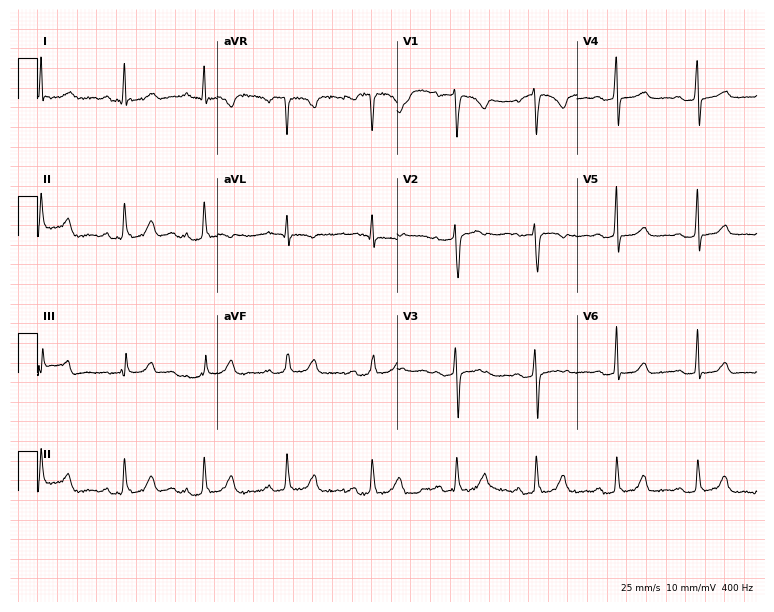
ECG (7.3-second recording at 400 Hz) — a female patient, 29 years old. Labelled as a normal ECG.